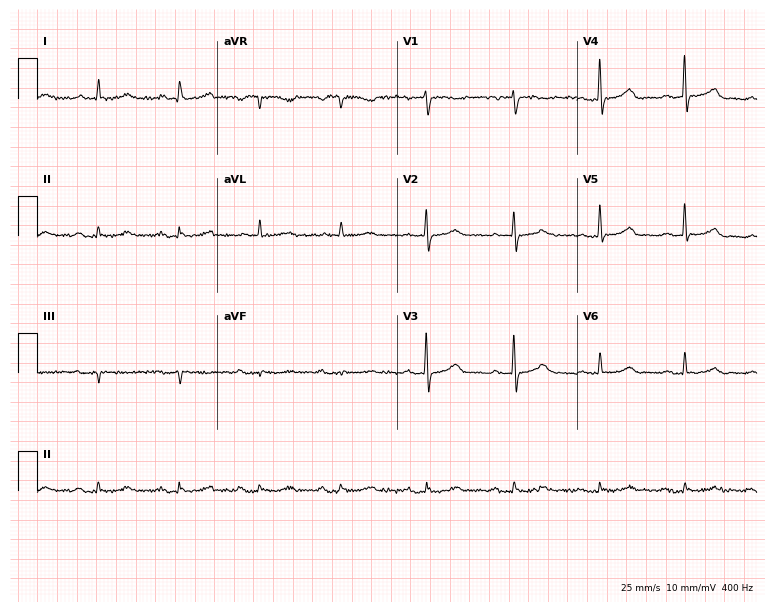
12-lead ECG from an 84-year-old female. Labelled as a normal ECG.